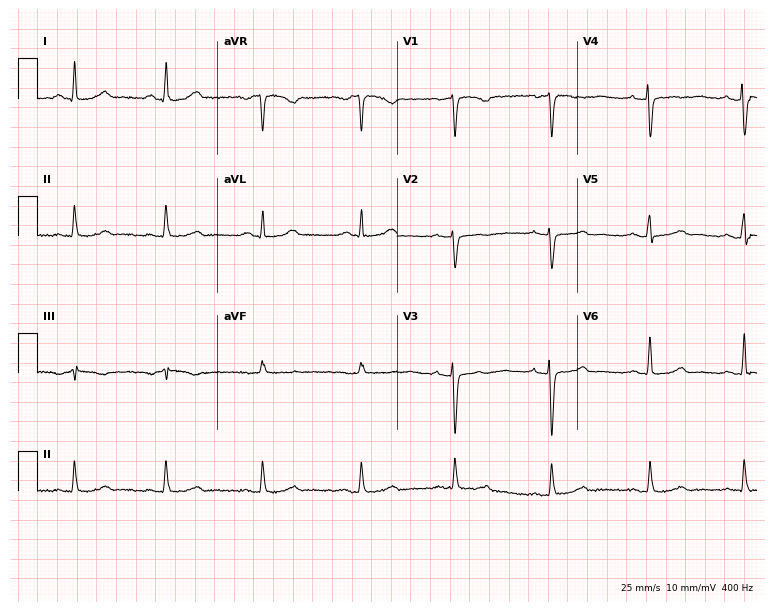
Standard 12-lead ECG recorded from a female patient, 42 years old. Read as a normal ECG.